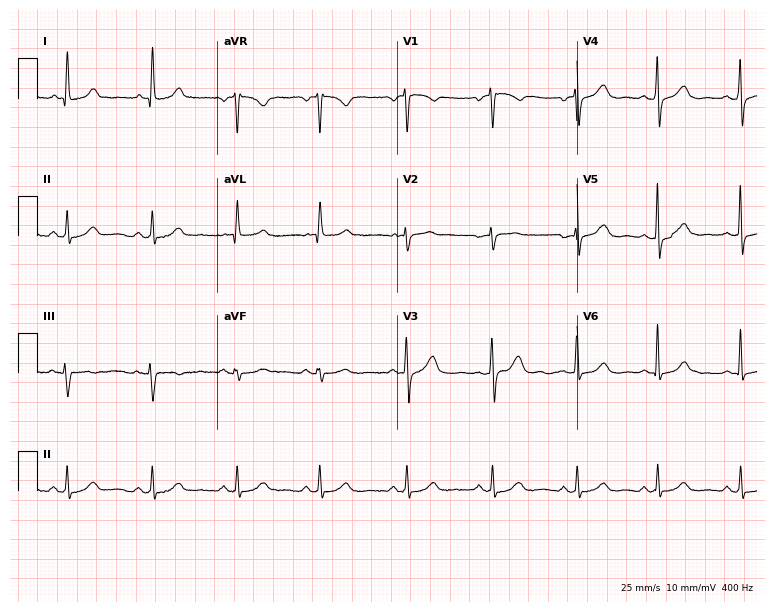
ECG (7.3-second recording at 400 Hz) — a 54-year-old female patient. Labelled as a normal ECG.